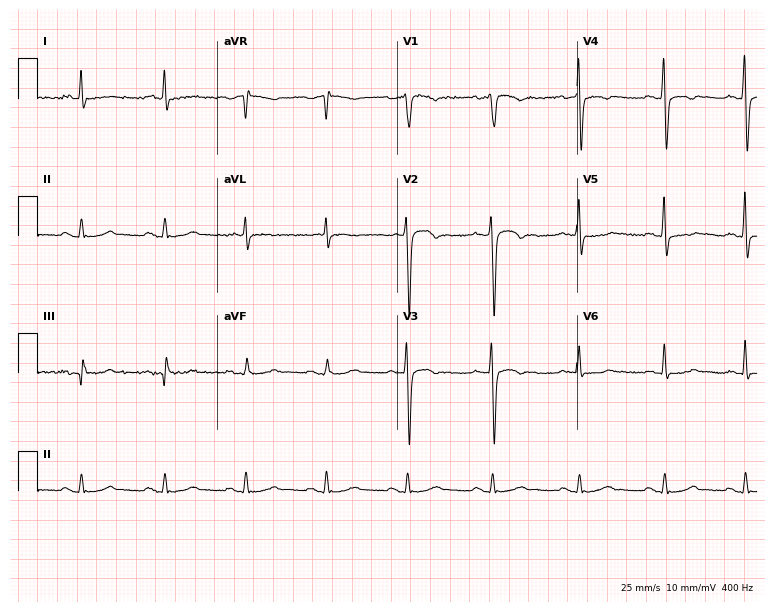
12-lead ECG from a male patient, 53 years old (7.3-second recording at 400 Hz). No first-degree AV block, right bundle branch block, left bundle branch block, sinus bradycardia, atrial fibrillation or sinus tachycardia recorded for this tracing. Other findings, if any, are not listed.